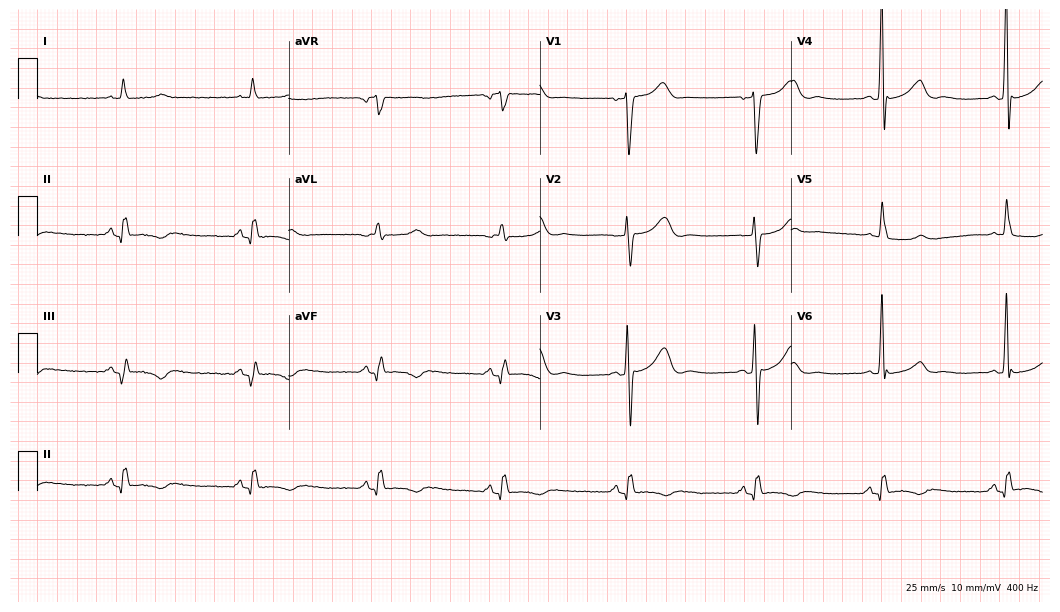
12-lead ECG from a man, 75 years old. Shows sinus bradycardia (a sinus rate of 50 beats per minute or less).